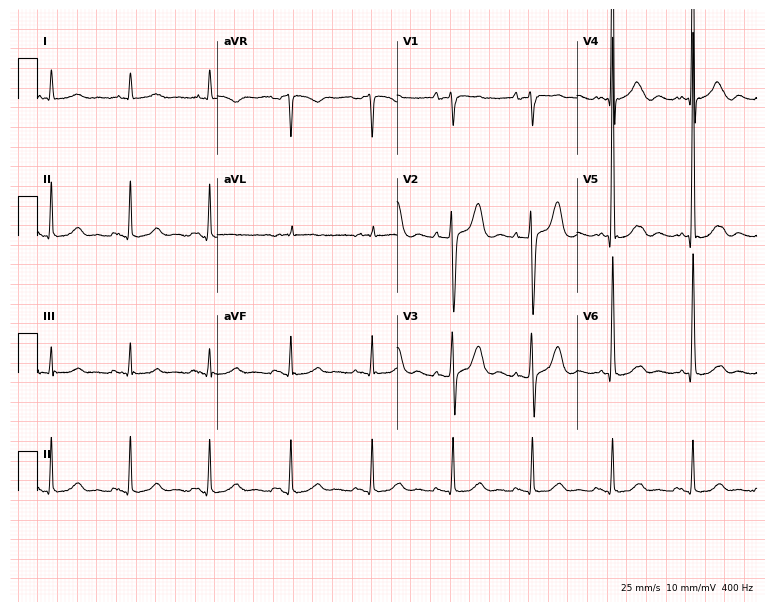
Electrocardiogram, an 83-year-old female patient. Of the six screened findings (first-degree AV block, right bundle branch block, left bundle branch block, sinus bradycardia, atrial fibrillation, sinus tachycardia), none is recorded.